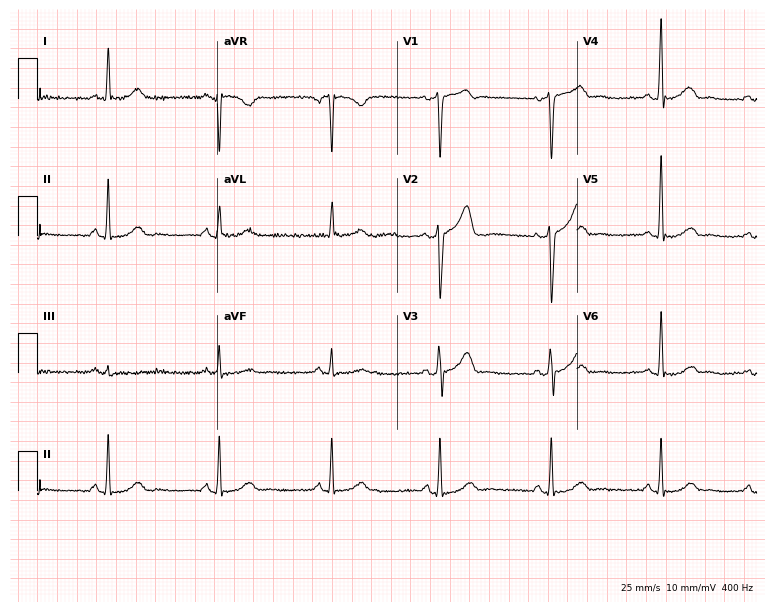
12-lead ECG from a 57-year-old male patient. Screened for six findings — first-degree AV block, right bundle branch block (RBBB), left bundle branch block (LBBB), sinus bradycardia, atrial fibrillation (AF), sinus tachycardia — none is recorded. Other findings, if any, are not listed.